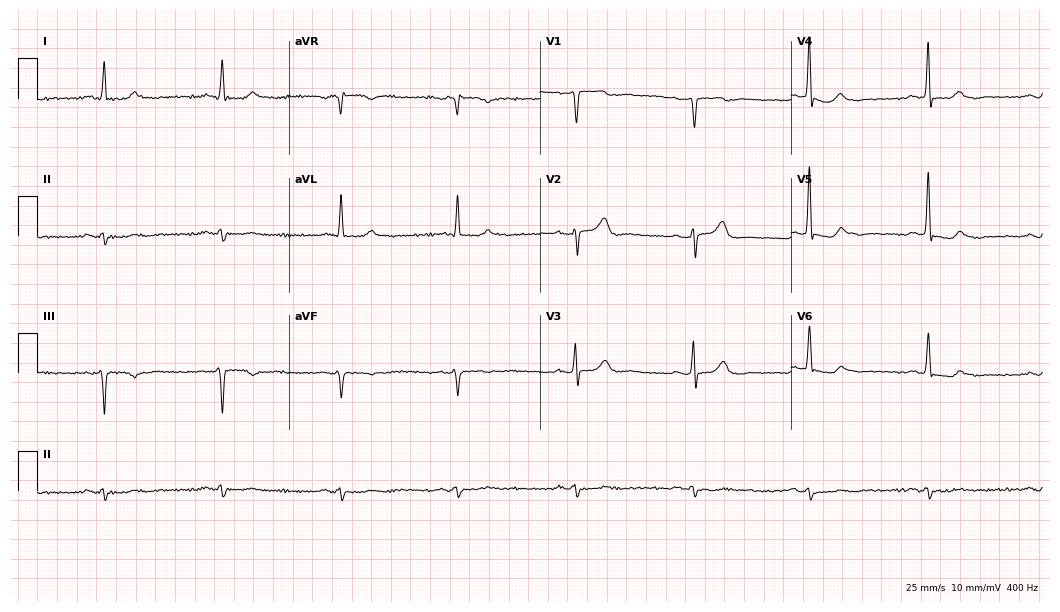
12-lead ECG from an 82-year-old male patient (10.2-second recording at 400 Hz). No first-degree AV block, right bundle branch block, left bundle branch block, sinus bradycardia, atrial fibrillation or sinus tachycardia recorded for this tracing.